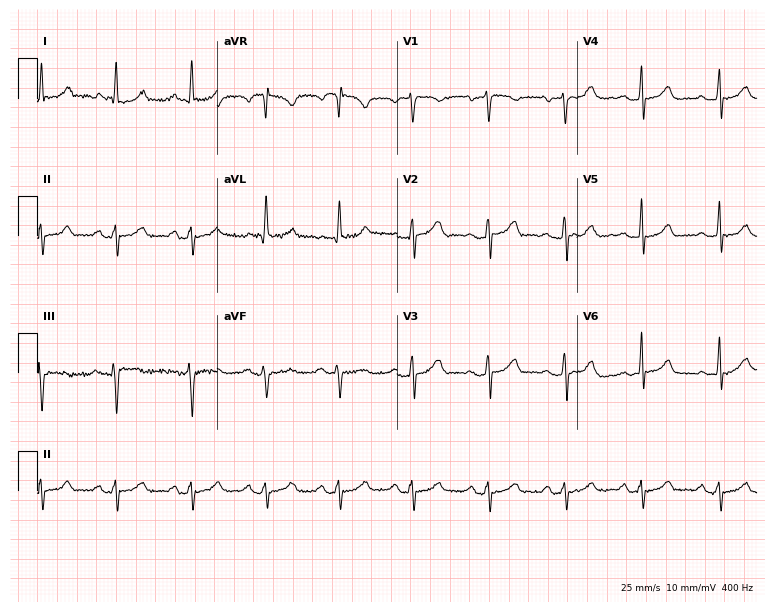
Electrocardiogram (7.3-second recording at 400 Hz), a female patient, 45 years old. Of the six screened findings (first-degree AV block, right bundle branch block (RBBB), left bundle branch block (LBBB), sinus bradycardia, atrial fibrillation (AF), sinus tachycardia), none is recorded. Only these six findings were labelled.